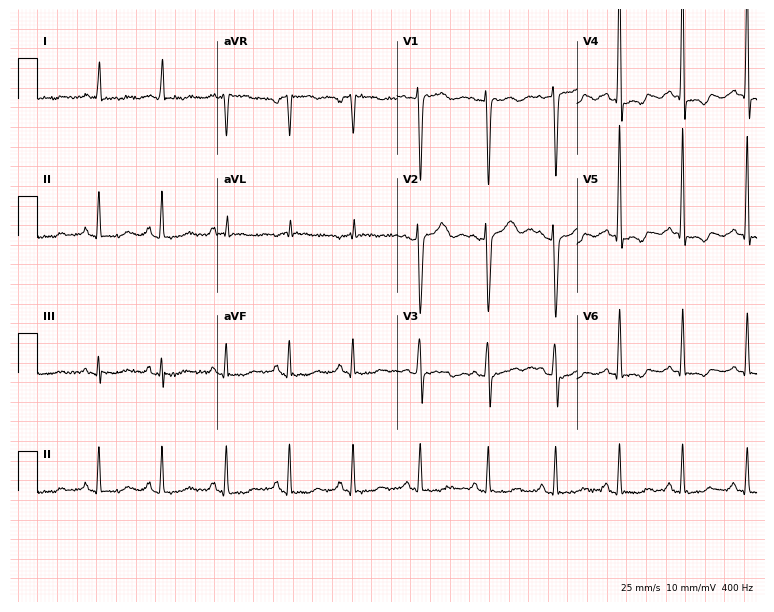
Electrocardiogram, a female, 49 years old. Of the six screened findings (first-degree AV block, right bundle branch block, left bundle branch block, sinus bradycardia, atrial fibrillation, sinus tachycardia), none is recorded. Other findings, if any, are not listed.